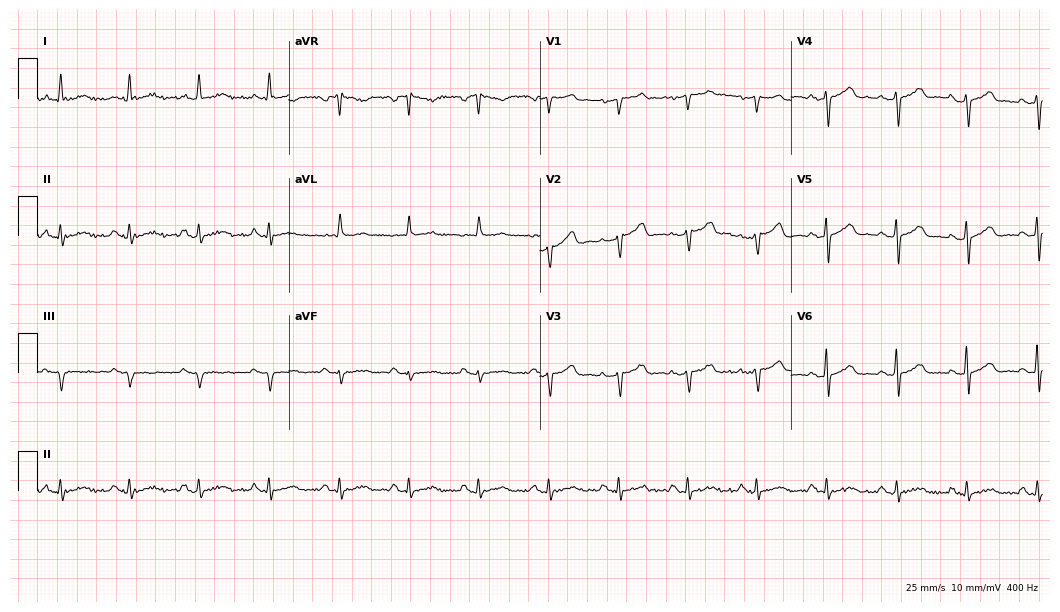
12-lead ECG from a 59-year-old male patient (10.2-second recording at 400 Hz). No first-degree AV block, right bundle branch block, left bundle branch block, sinus bradycardia, atrial fibrillation or sinus tachycardia recorded for this tracing.